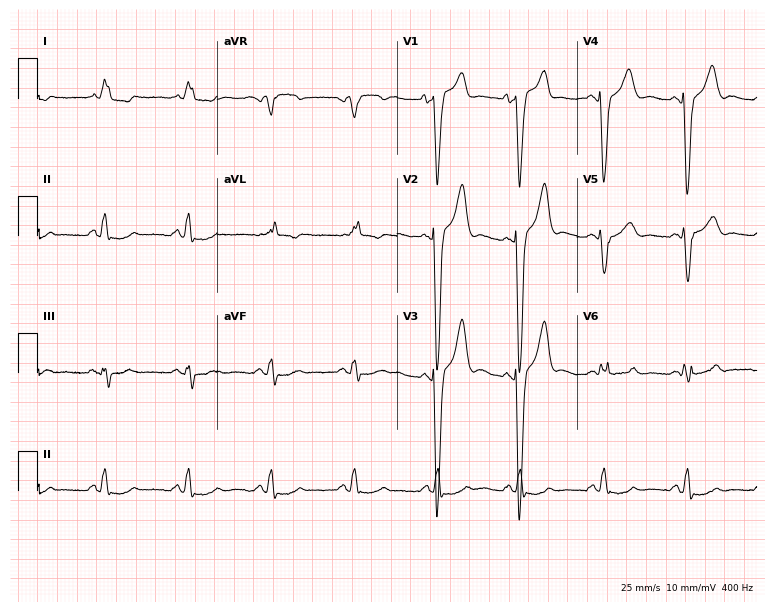
12-lead ECG (7.3-second recording at 400 Hz) from a man, 79 years old. Findings include left bundle branch block.